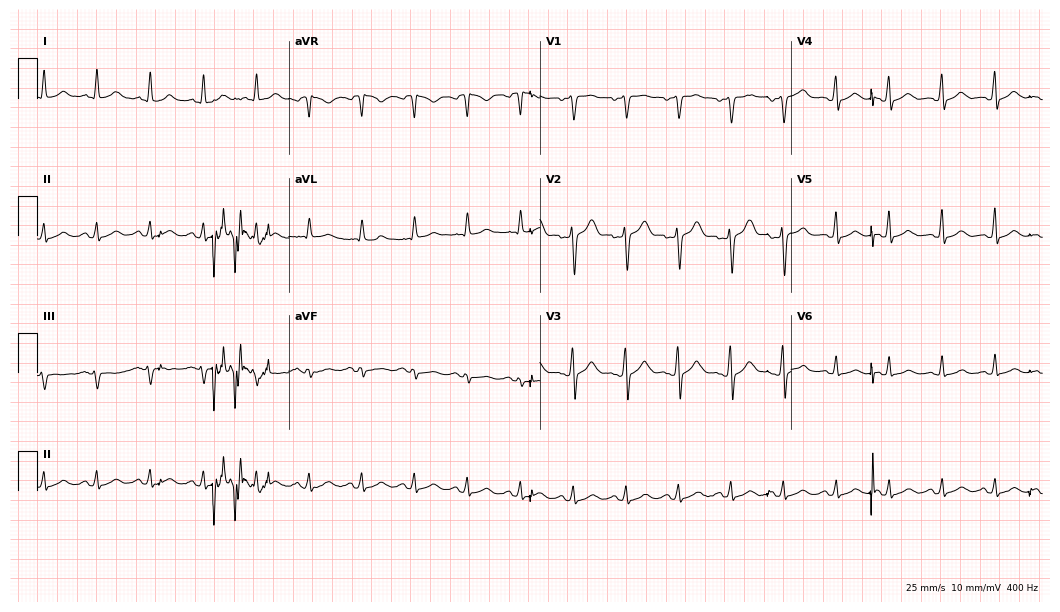
Electrocardiogram, a 38-year-old male. Interpretation includes sinus tachycardia (a sinus rate of 100 beats per minute or more).